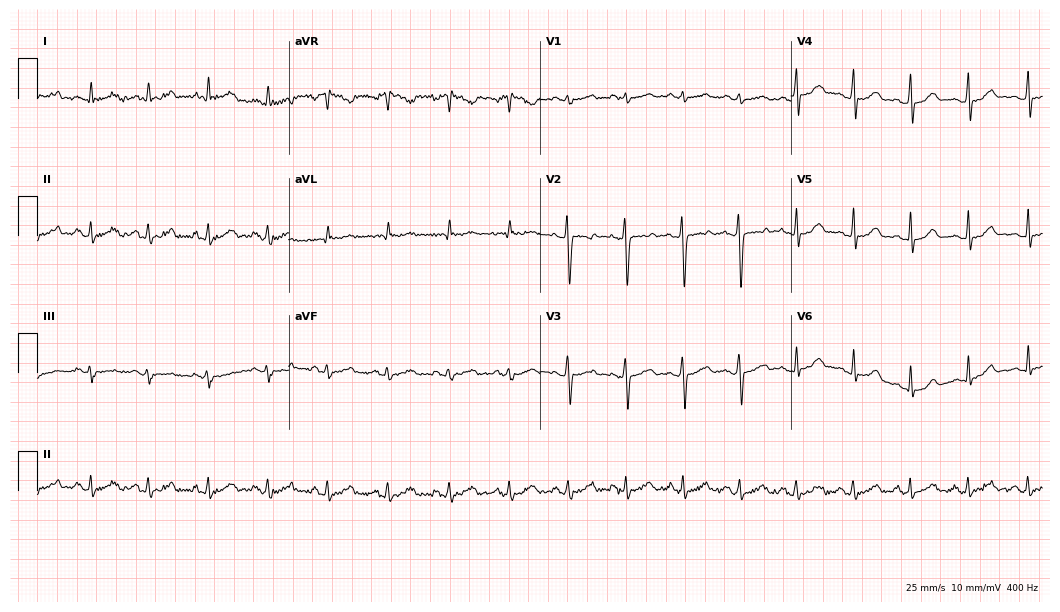
Electrocardiogram (10.2-second recording at 400 Hz), a 17-year-old woman. Of the six screened findings (first-degree AV block, right bundle branch block, left bundle branch block, sinus bradycardia, atrial fibrillation, sinus tachycardia), none is recorded. Findings outside these six are not listed.